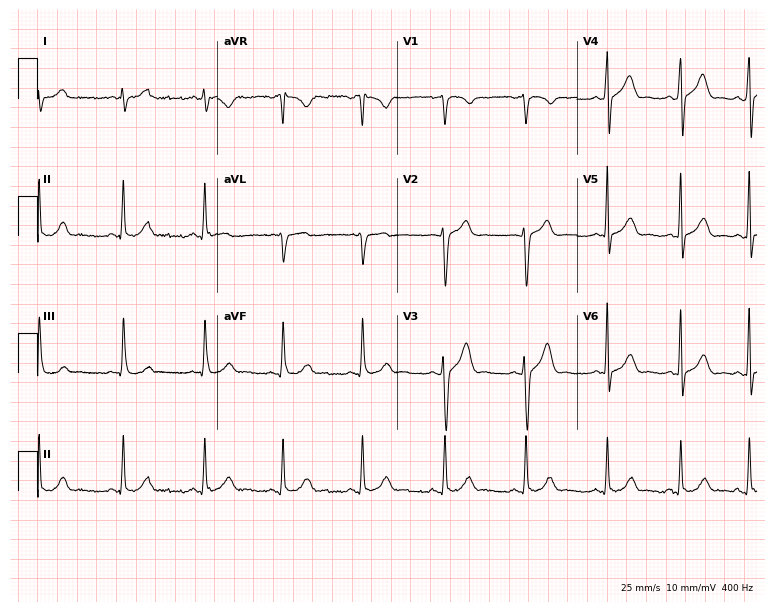
Standard 12-lead ECG recorded from a 28-year-old man. None of these six findings is recorded: first-degree AV block, right bundle branch block (RBBB), left bundle branch block (LBBB), sinus bradycardia, atrial fibrillation (AF), sinus tachycardia.